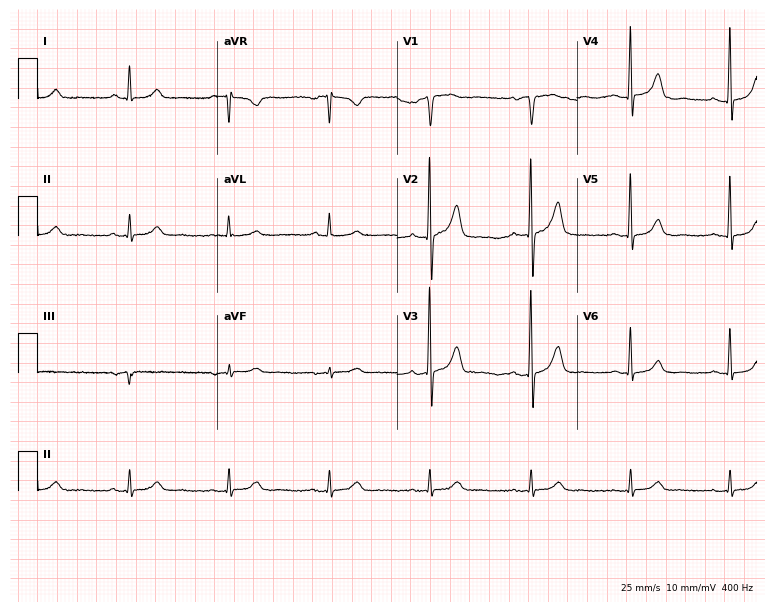
Standard 12-lead ECG recorded from a 77-year-old male patient. Read as a normal ECG.